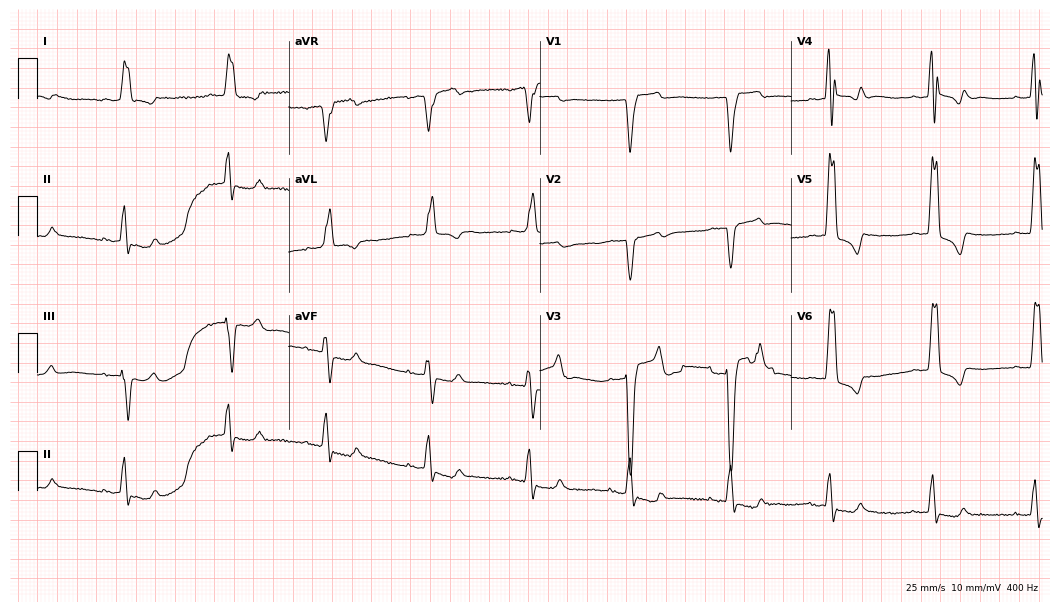
12-lead ECG (10.2-second recording at 400 Hz) from a 71-year-old woman. Findings include left bundle branch block (LBBB).